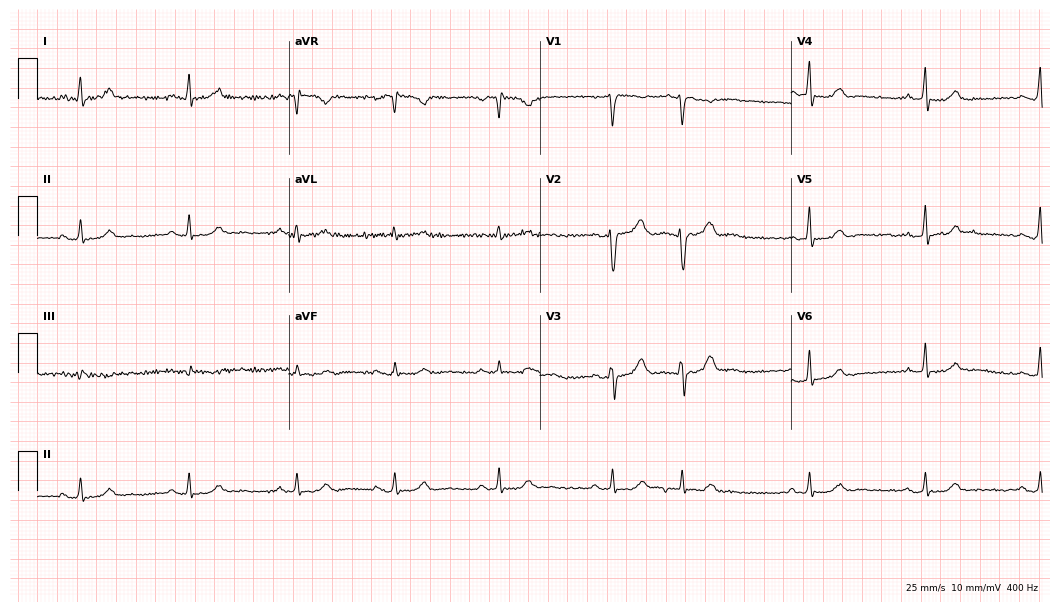
Electrocardiogram (10.2-second recording at 400 Hz), a 54-year-old female. Overall reading on record: normal ECG.